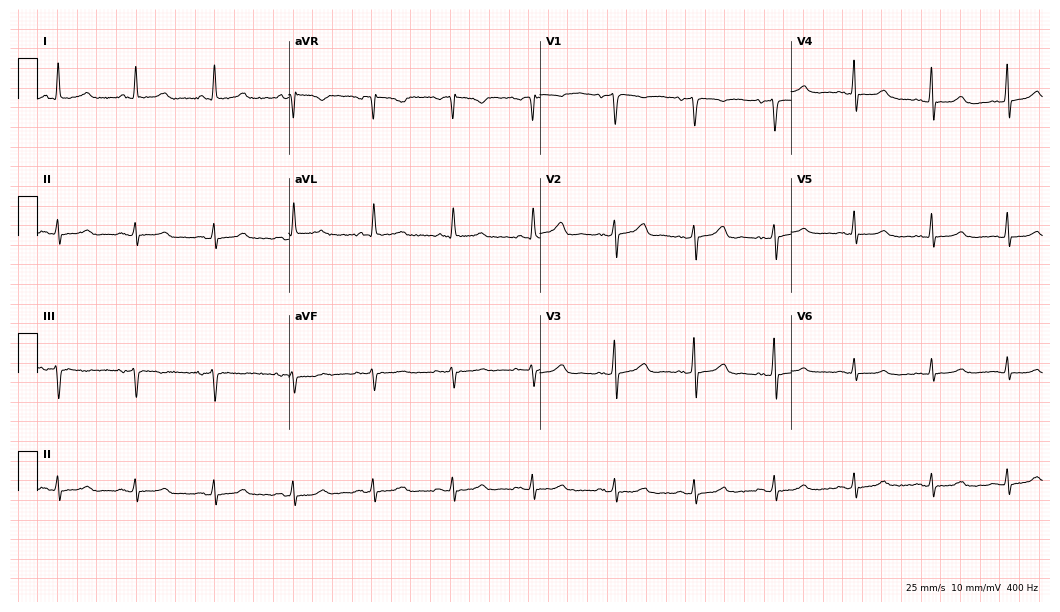
12-lead ECG from a female patient, 55 years old (10.2-second recording at 400 Hz). Recorded interpretation: within normal limits.